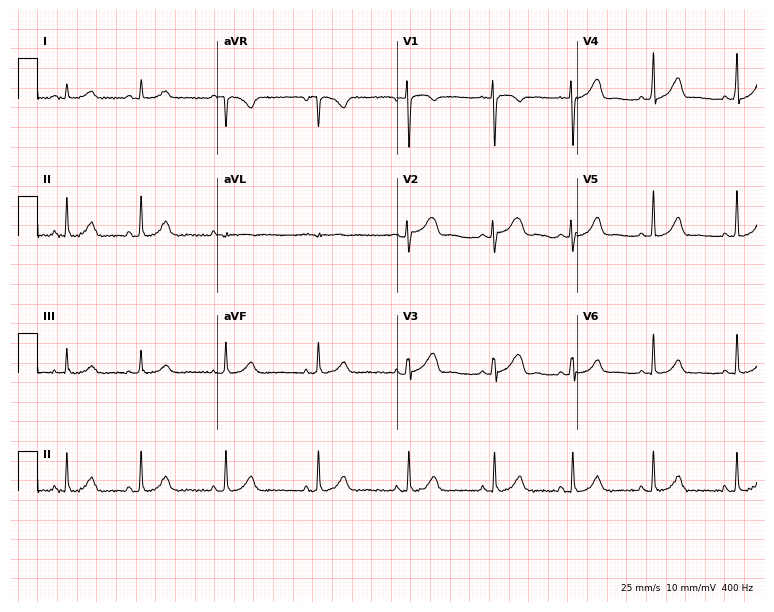
12-lead ECG (7.3-second recording at 400 Hz) from a female, 23 years old. Screened for six findings — first-degree AV block, right bundle branch block, left bundle branch block, sinus bradycardia, atrial fibrillation, sinus tachycardia — none is recorded. Findings outside these six are not listed.